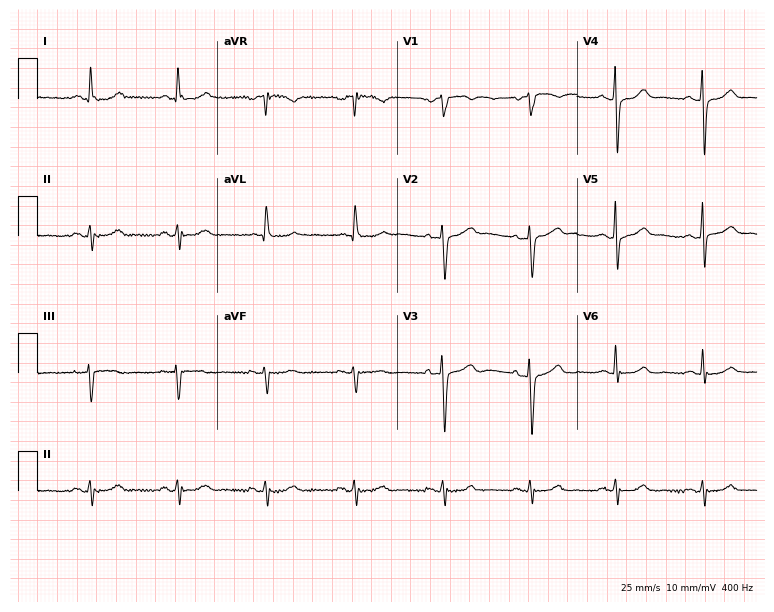
12-lead ECG from a female, 64 years old. Screened for six findings — first-degree AV block, right bundle branch block, left bundle branch block, sinus bradycardia, atrial fibrillation, sinus tachycardia — none is recorded. Only these six findings were labelled.